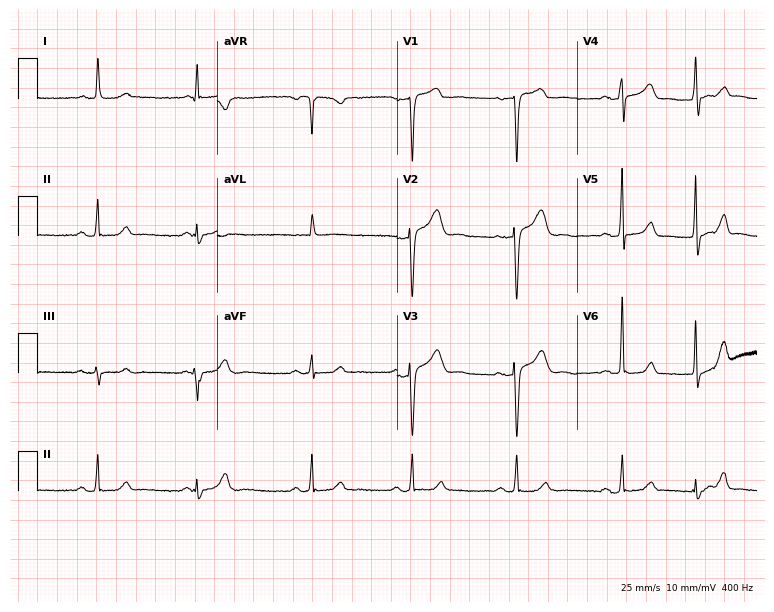
12-lead ECG from a 51-year-old female. No first-degree AV block, right bundle branch block, left bundle branch block, sinus bradycardia, atrial fibrillation or sinus tachycardia recorded for this tracing. Other findings, if any, are not listed.